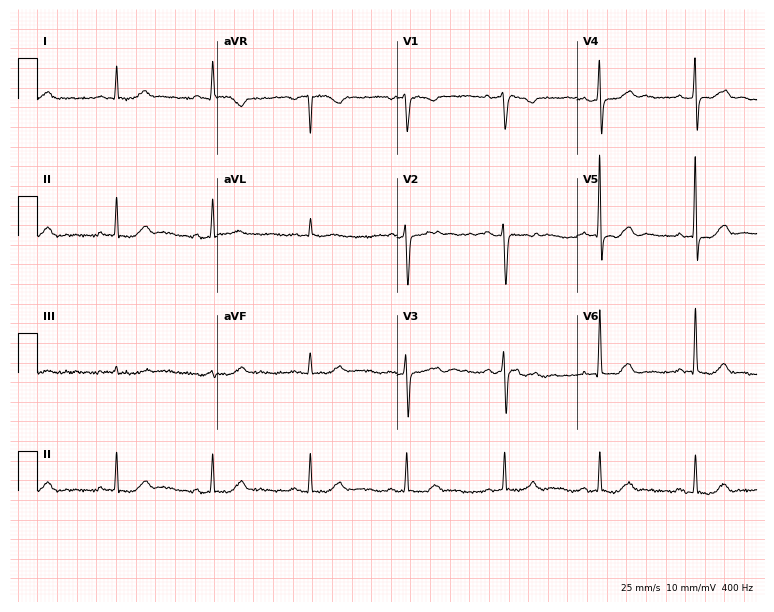
ECG (7.3-second recording at 400 Hz) — an 80-year-old female. Labelled as a normal ECG.